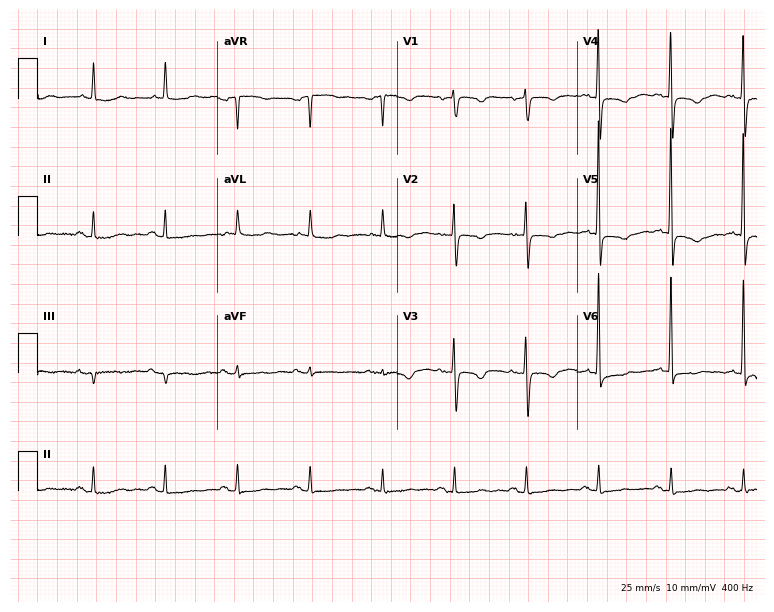
12-lead ECG from a female patient, 85 years old (7.3-second recording at 400 Hz). No first-degree AV block, right bundle branch block, left bundle branch block, sinus bradycardia, atrial fibrillation or sinus tachycardia recorded for this tracing. Findings outside these six are not listed.